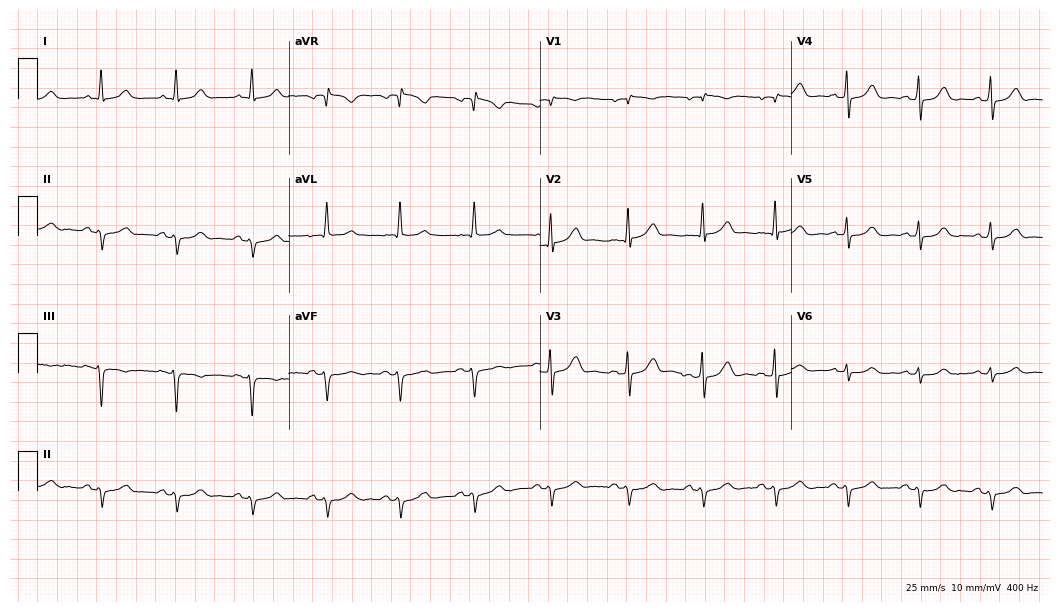
Resting 12-lead electrocardiogram. Patient: a male, 62 years old. None of these six findings is recorded: first-degree AV block, right bundle branch block, left bundle branch block, sinus bradycardia, atrial fibrillation, sinus tachycardia.